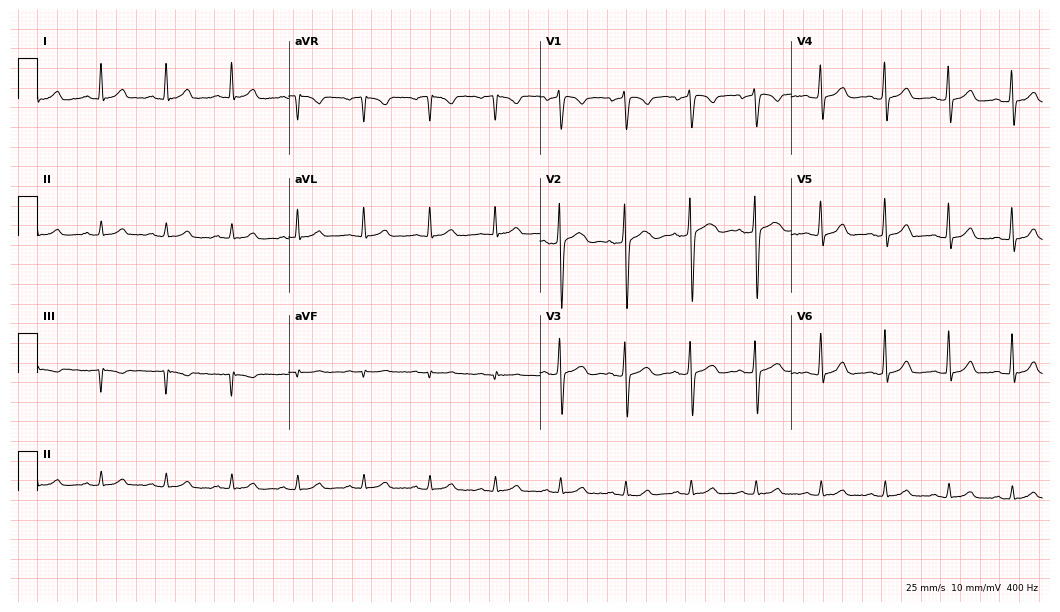
12-lead ECG (10.2-second recording at 400 Hz) from a 36-year-old male. Labelled as a normal ECG.